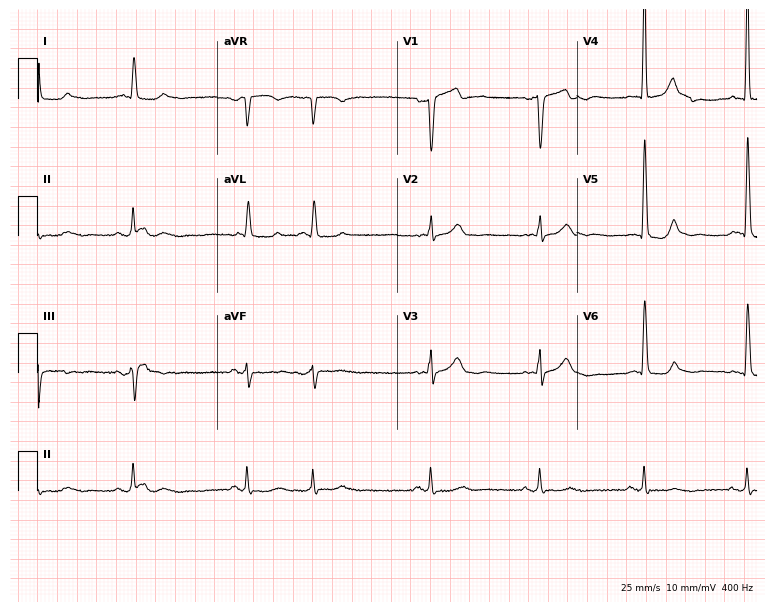
ECG — an 82-year-old male patient. Screened for six findings — first-degree AV block, right bundle branch block, left bundle branch block, sinus bradycardia, atrial fibrillation, sinus tachycardia — none is recorded.